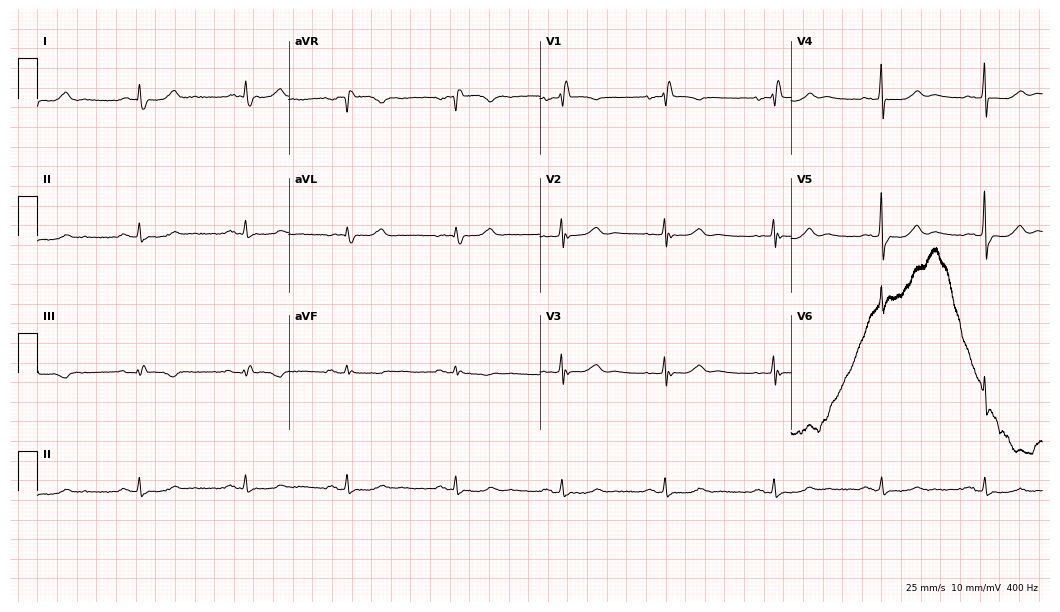
Standard 12-lead ECG recorded from a female patient, 81 years old (10.2-second recording at 400 Hz). The tracing shows right bundle branch block.